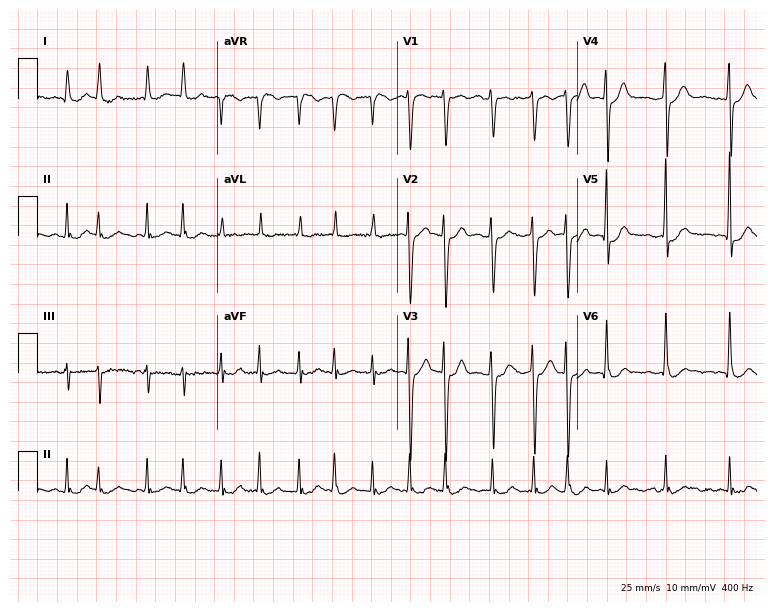
Resting 12-lead electrocardiogram. Patient: a 78-year-old woman. The tracing shows atrial fibrillation.